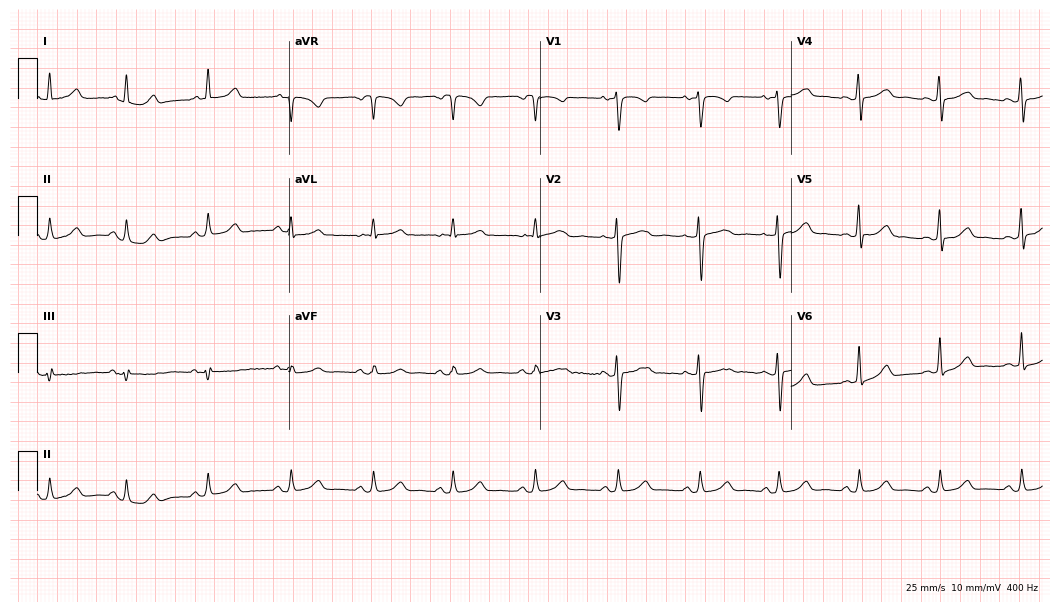
Standard 12-lead ECG recorded from a 39-year-old female patient. Read as a normal ECG.